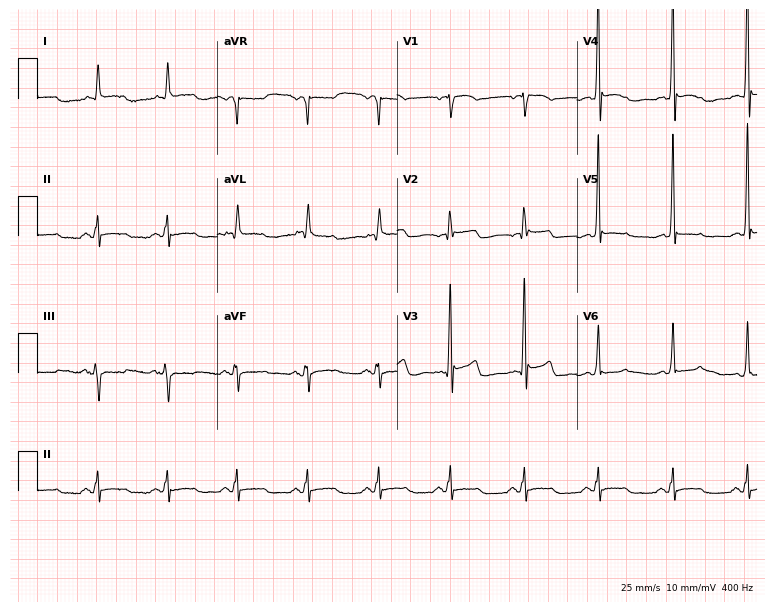
Electrocardiogram (7.3-second recording at 400 Hz), a 74-year-old male patient. Of the six screened findings (first-degree AV block, right bundle branch block, left bundle branch block, sinus bradycardia, atrial fibrillation, sinus tachycardia), none is recorded. Other findings, if any, are not listed.